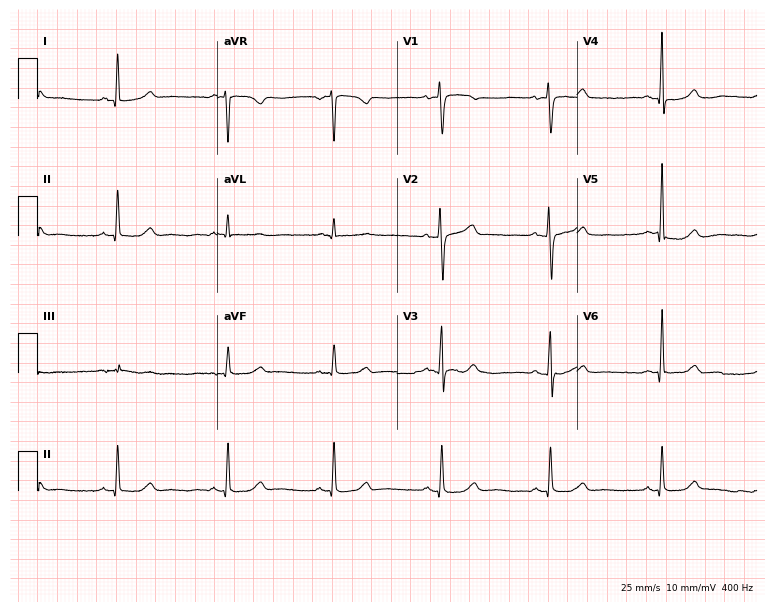
12-lead ECG (7.3-second recording at 400 Hz) from a 52-year-old female. Screened for six findings — first-degree AV block, right bundle branch block, left bundle branch block, sinus bradycardia, atrial fibrillation, sinus tachycardia — none is recorded.